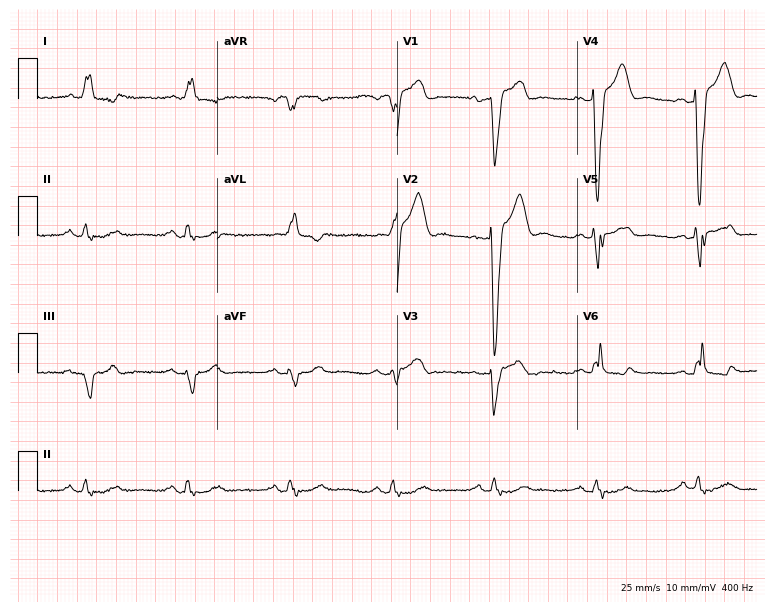
12-lead ECG from a male, 70 years old. Shows left bundle branch block (LBBB).